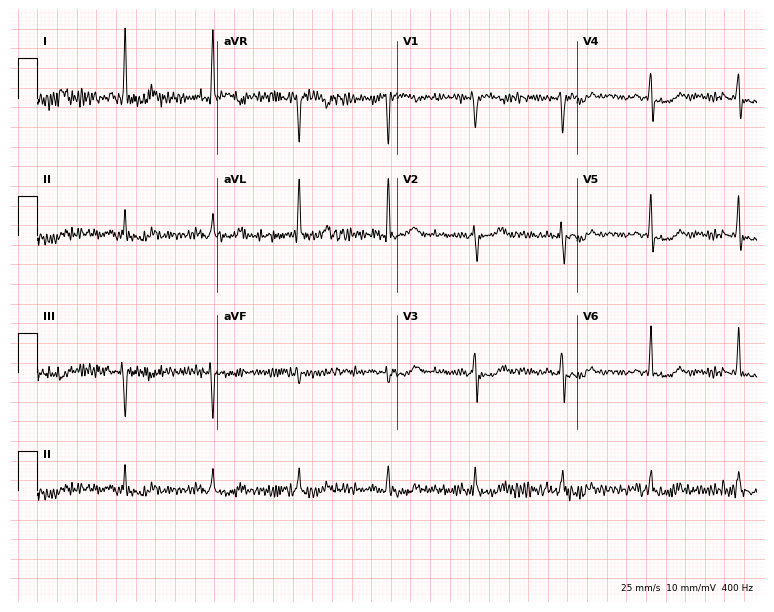
Electrocardiogram, a female patient, 82 years old. Of the six screened findings (first-degree AV block, right bundle branch block (RBBB), left bundle branch block (LBBB), sinus bradycardia, atrial fibrillation (AF), sinus tachycardia), none is recorded.